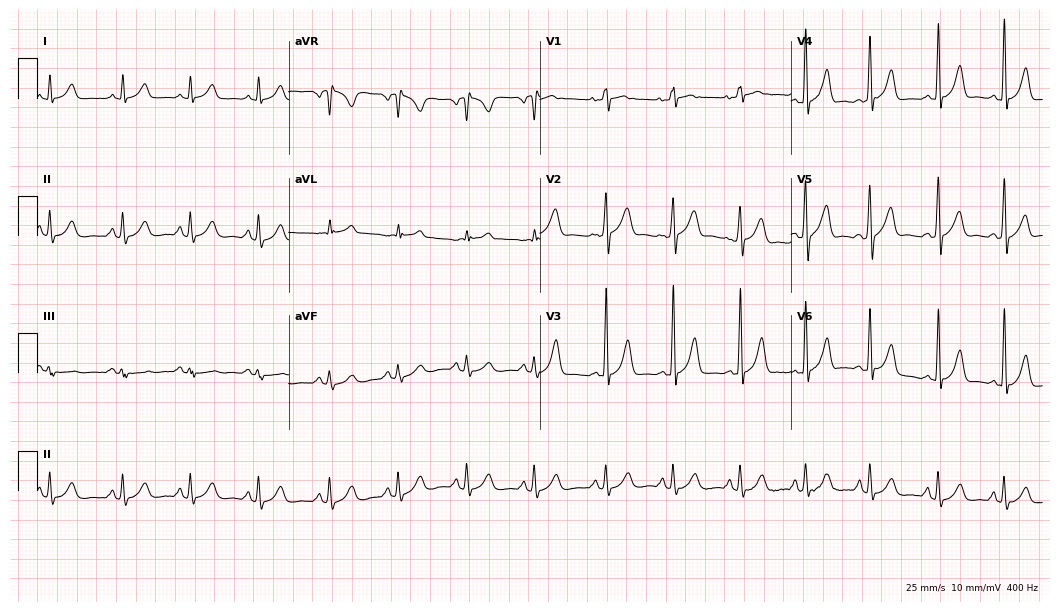
Standard 12-lead ECG recorded from a male, 58 years old. None of these six findings is recorded: first-degree AV block, right bundle branch block, left bundle branch block, sinus bradycardia, atrial fibrillation, sinus tachycardia.